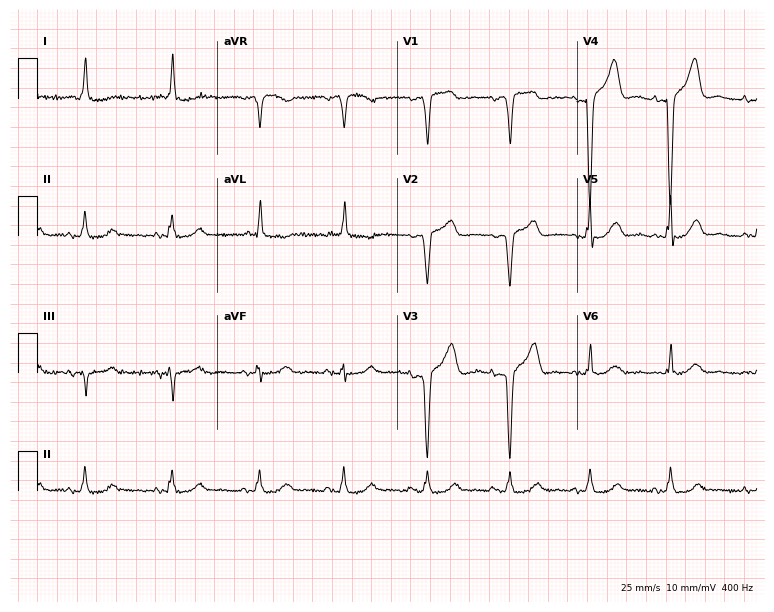
ECG — a 65-year-old female patient. Screened for six findings — first-degree AV block, right bundle branch block, left bundle branch block, sinus bradycardia, atrial fibrillation, sinus tachycardia — none is recorded. Findings outside these six are not listed.